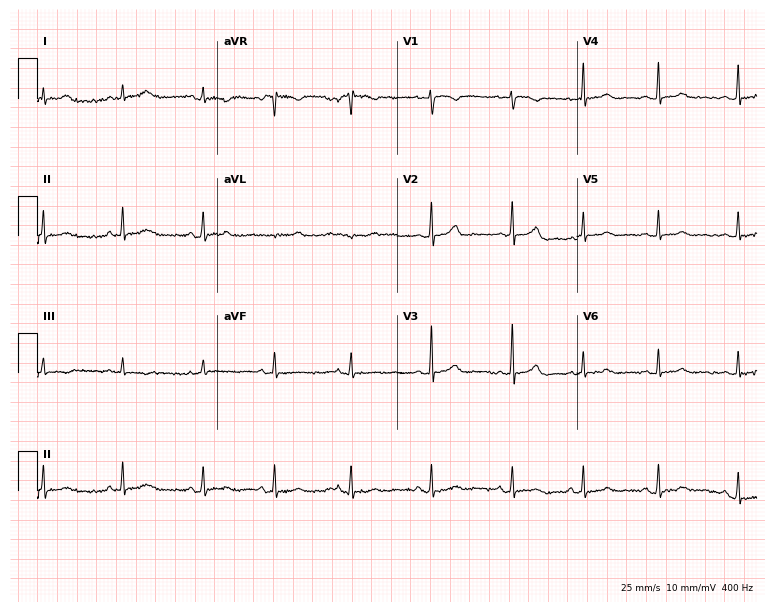
12-lead ECG from a female, 28 years old. Recorded interpretation: within normal limits.